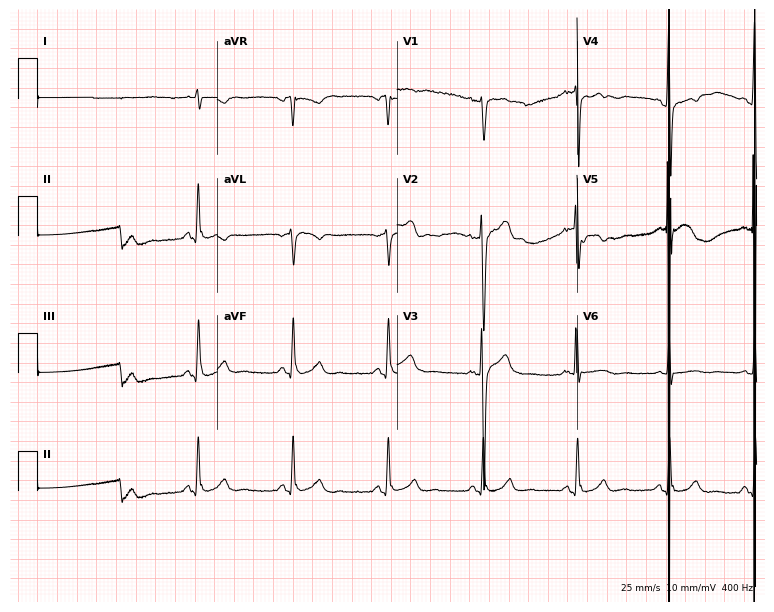
Standard 12-lead ECG recorded from a 40-year-old male. None of these six findings is recorded: first-degree AV block, right bundle branch block (RBBB), left bundle branch block (LBBB), sinus bradycardia, atrial fibrillation (AF), sinus tachycardia.